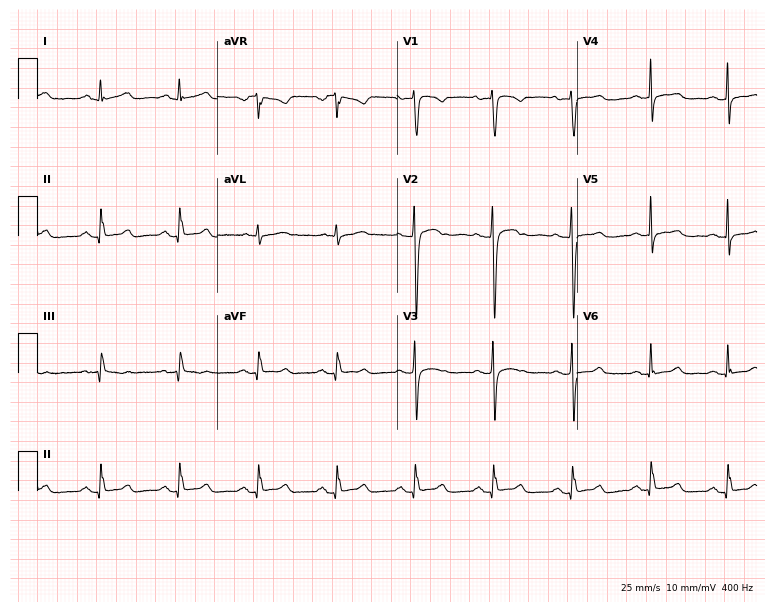
Electrocardiogram (7.3-second recording at 400 Hz), a 48-year-old woman. Overall reading on record: normal ECG.